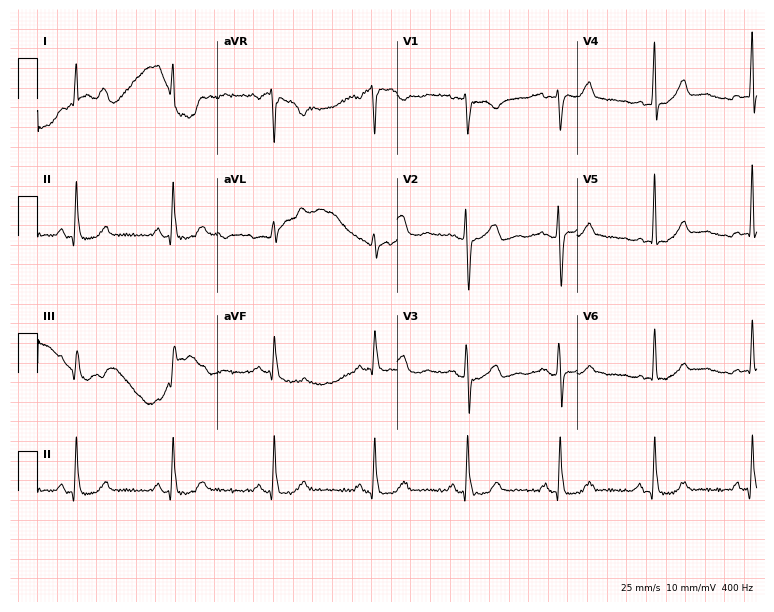
Resting 12-lead electrocardiogram. Patient: a female, 54 years old. None of these six findings is recorded: first-degree AV block, right bundle branch block, left bundle branch block, sinus bradycardia, atrial fibrillation, sinus tachycardia. Only these six findings were labelled.